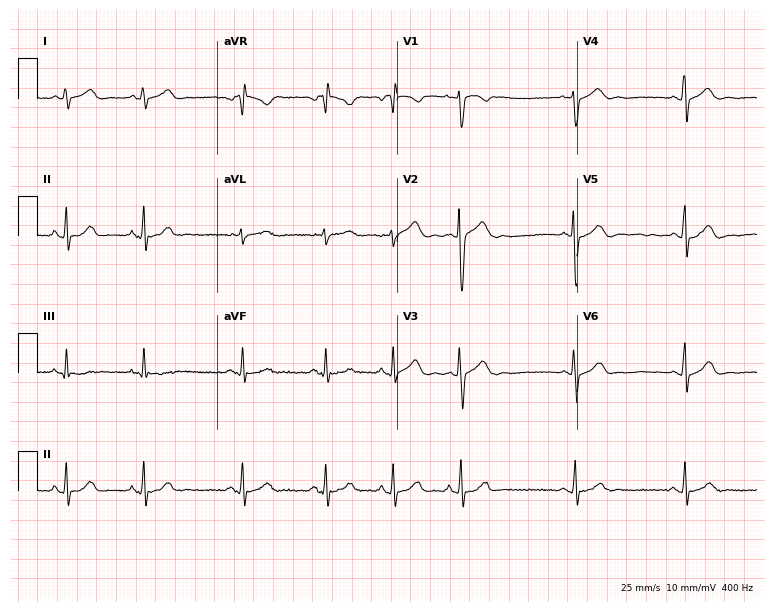
Electrocardiogram, a 23-year-old woman. Overall reading on record: normal ECG.